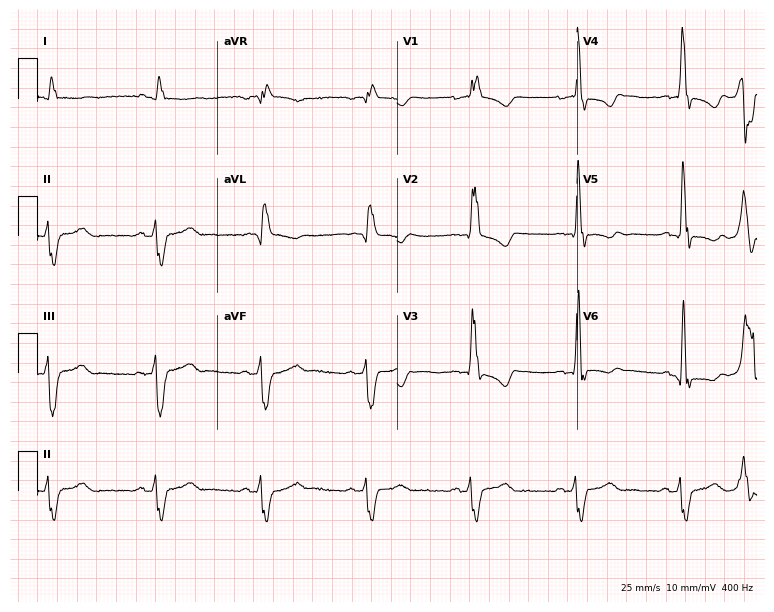
Resting 12-lead electrocardiogram (7.3-second recording at 400 Hz). Patient: a male, 61 years old. The tracing shows right bundle branch block.